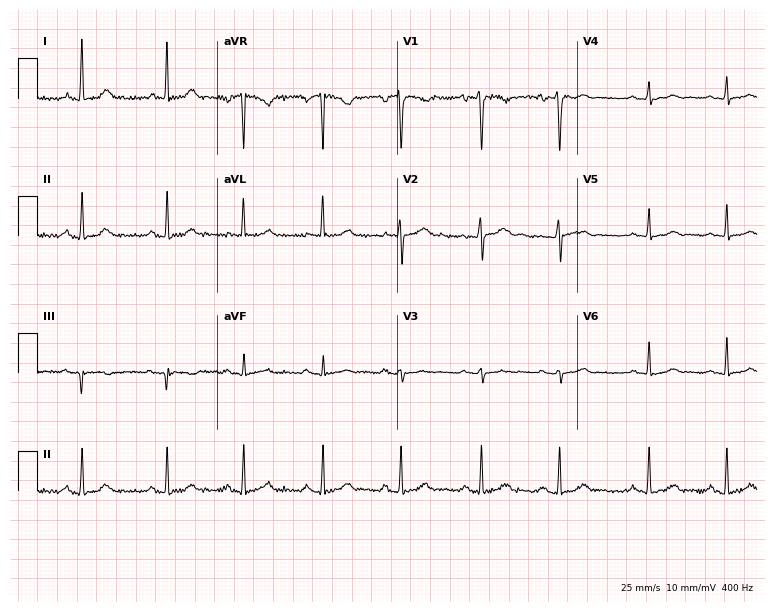
12-lead ECG from a female, 29 years old. Labelled as a normal ECG.